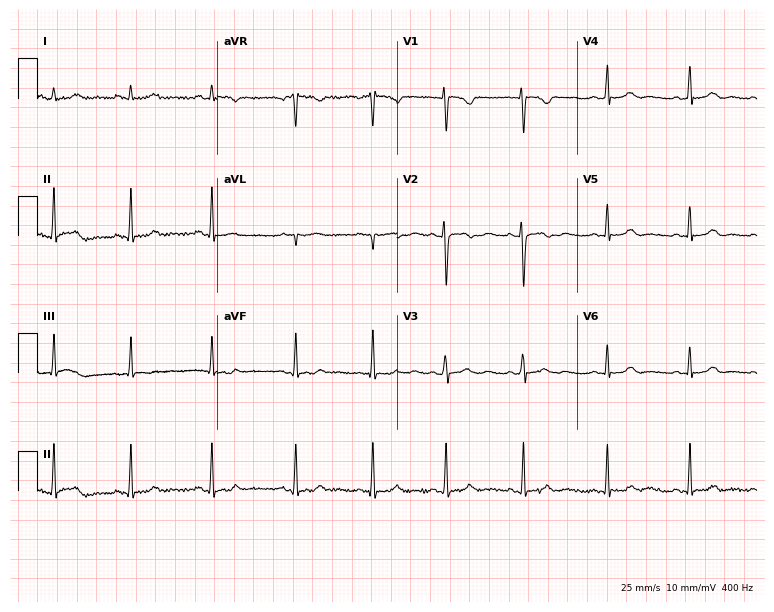
Electrocardiogram, an 18-year-old female patient. Overall reading on record: normal ECG.